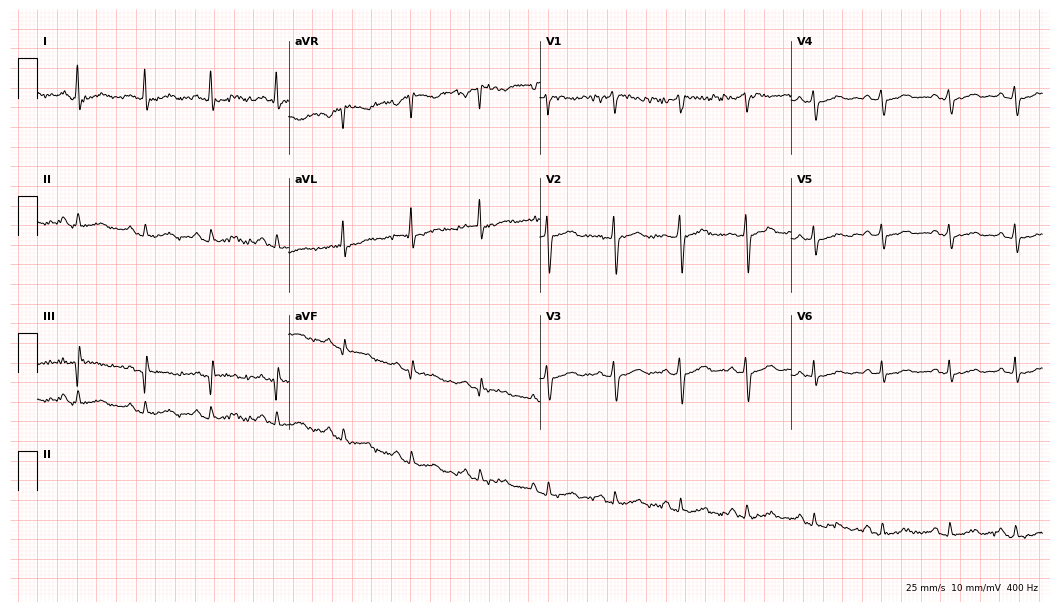
Electrocardiogram (10.2-second recording at 400 Hz), a woman, 54 years old. Of the six screened findings (first-degree AV block, right bundle branch block, left bundle branch block, sinus bradycardia, atrial fibrillation, sinus tachycardia), none is recorded.